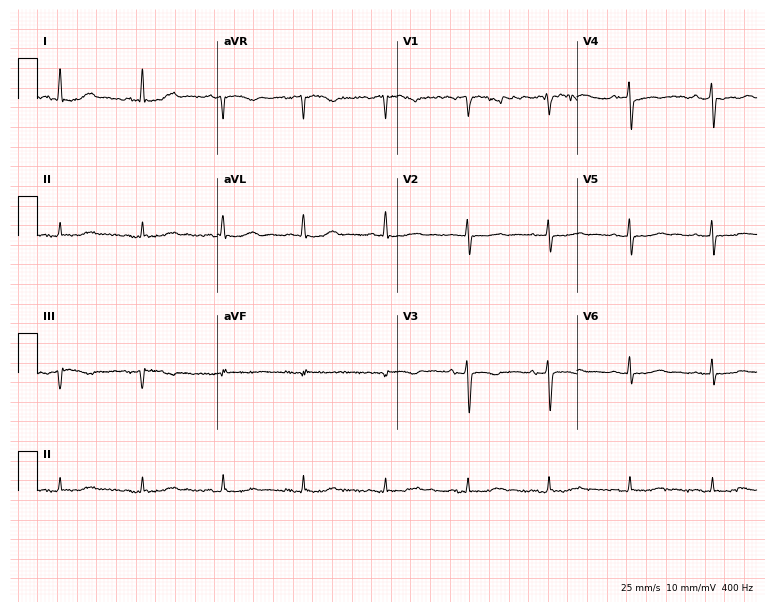
Resting 12-lead electrocardiogram. Patient: a female, 58 years old. None of these six findings is recorded: first-degree AV block, right bundle branch block (RBBB), left bundle branch block (LBBB), sinus bradycardia, atrial fibrillation (AF), sinus tachycardia.